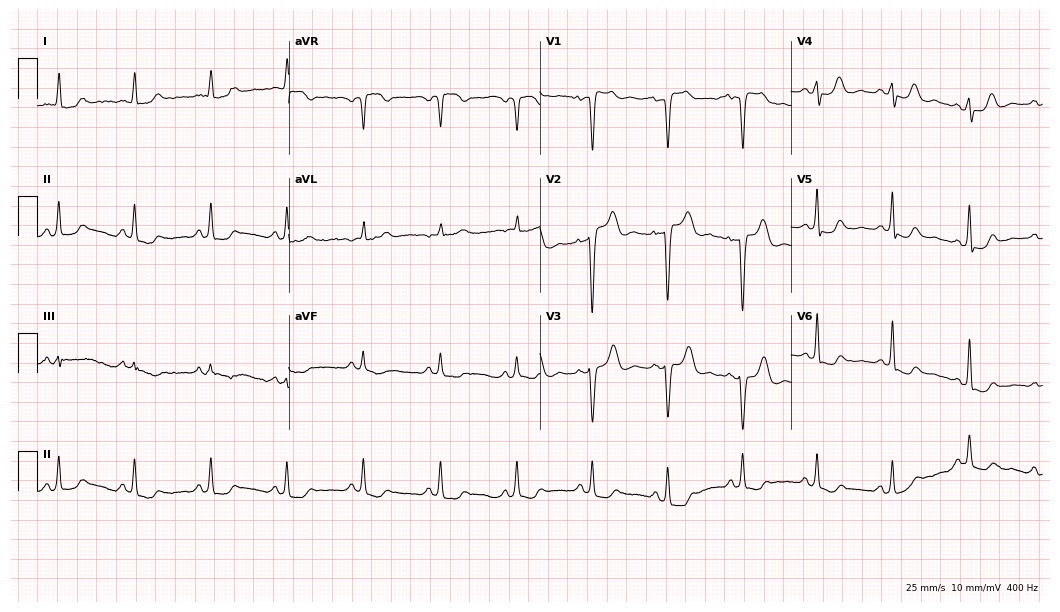
Resting 12-lead electrocardiogram (10.2-second recording at 400 Hz). Patient: a female, 83 years old. None of these six findings is recorded: first-degree AV block, right bundle branch block, left bundle branch block, sinus bradycardia, atrial fibrillation, sinus tachycardia.